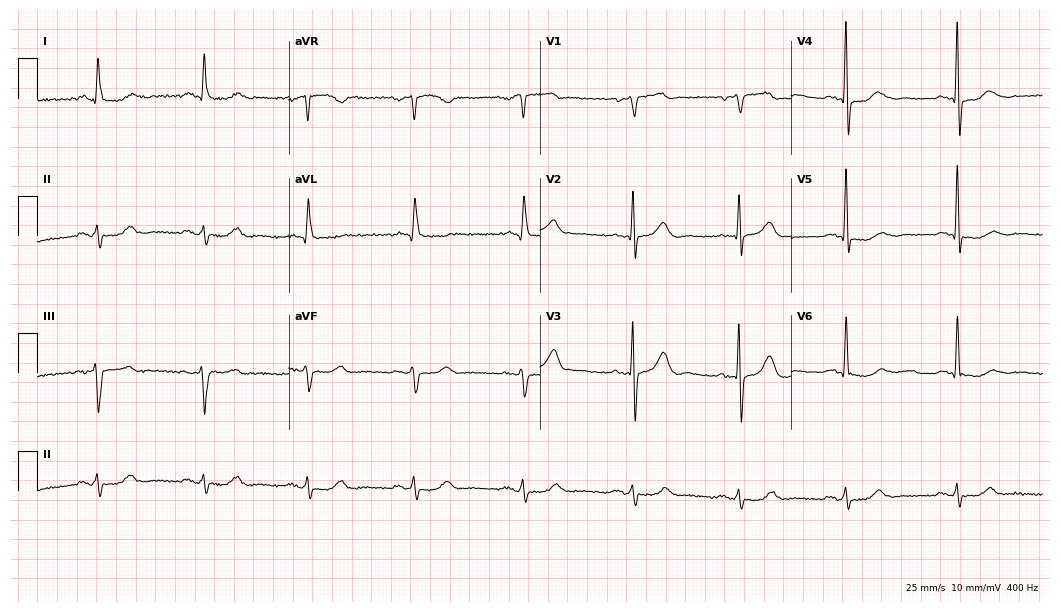
Resting 12-lead electrocardiogram (10.2-second recording at 400 Hz). Patient: an 82-year-old male. None of these six findings is recorded: first-degree AV block, right bundle branch block, left bundle branch block, sinus bradycardia, atrial fibrillation, sinus tachycardia.